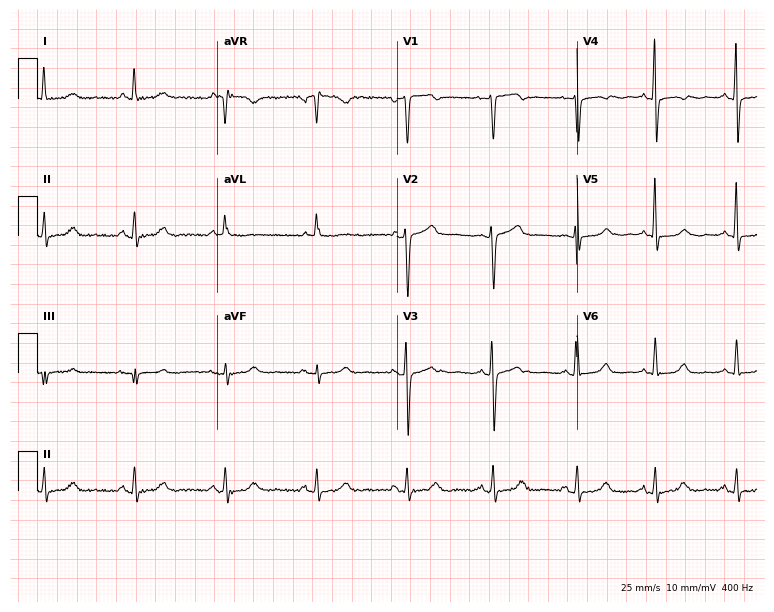
Resting 12-lead electrocardiogram (7.3-second recording at 400 Hz). Patient: a 60-year-old female. None of these six findings is recorded: first-degree AV block, right bundle branch block, left bundle branch block, sinus bradycardia, atrial fibrillation, sinus tachycardia. Other findings, if any, are not listed.